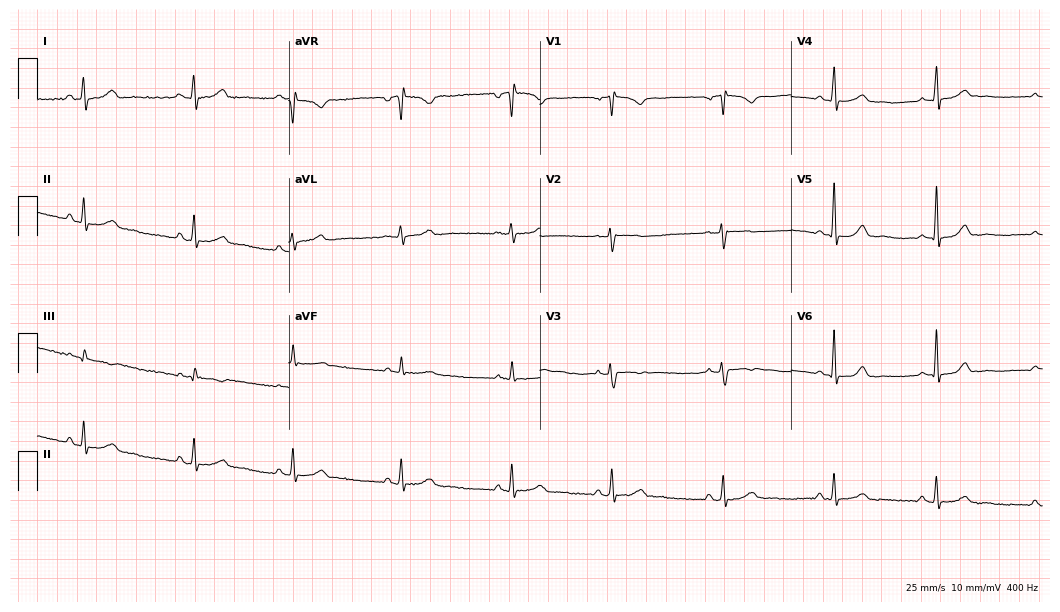
Resting 12-lead electrocardiogram. Patient: a 23-year-old female. Read as a normal ECG.